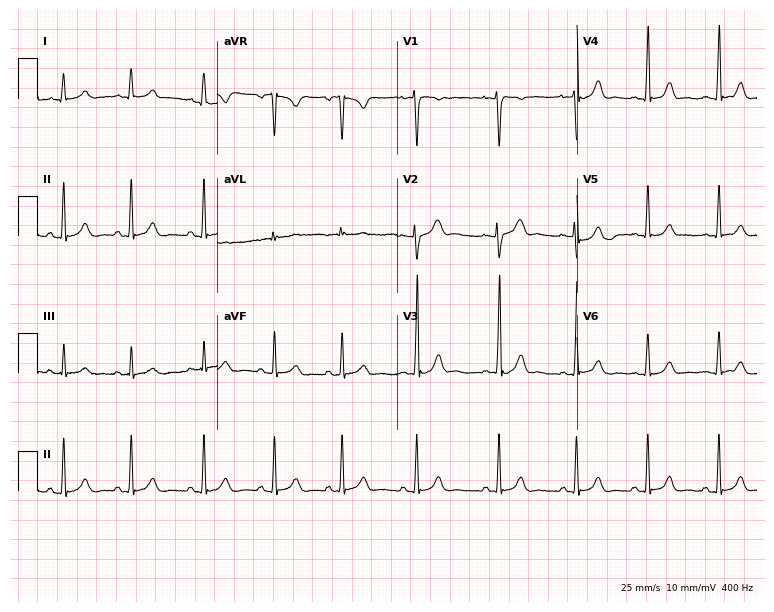
Resting 12-lead electrocardiogram (7.3-second recording at 400 Hz). Patient: a female, 17 years old. Read as a normal ECG.